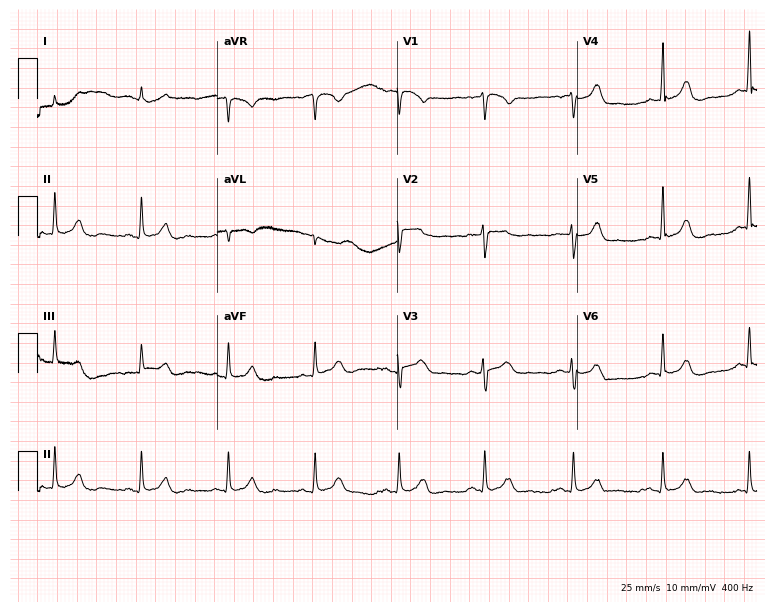
ECG (7.3-second recording at 400 Hz) — a 40-year-old female patient. Screened for six findings — first-degree AV block, right bundle branch block, left bundle branch block, sinus bradycardia, atrial fibrillation, sinus tachycardia — none is recorded.